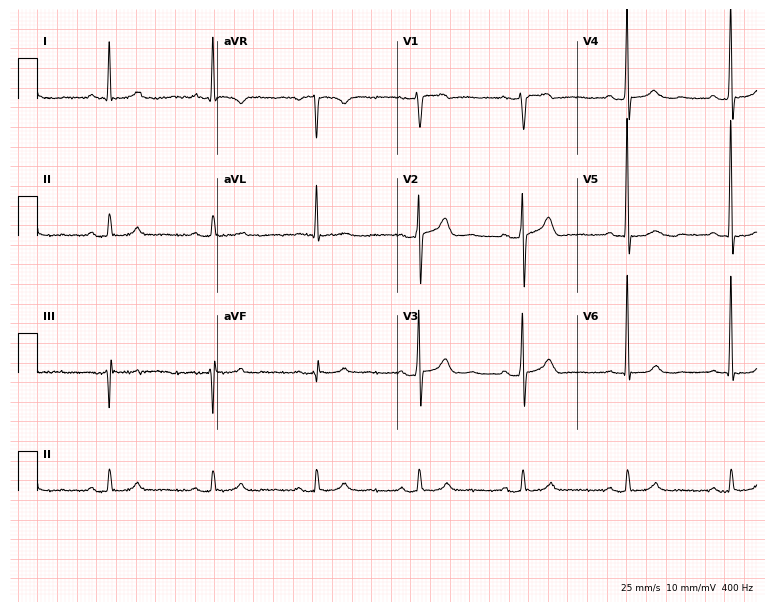
Electrocardiogram, a male patient, 63 years old. Overall reading on record: normal ECG.